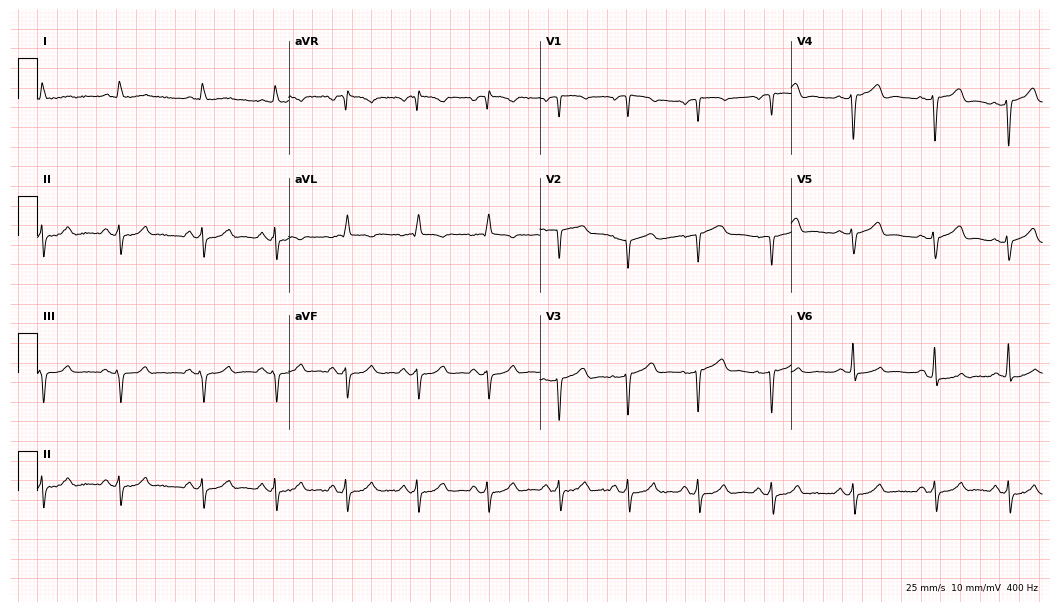
Electrocardiogram (10.2-second recording at 400 Hz), a man, 67 years old. Of the six screened findings (first-degree AV block, right bundle branch block (RBBB), left bundle branch block (LBBB), sinus bradycardia, atrial fibrillation (AF), sinus tachycardia), none is recorded. Other findings, if any, are not listed.